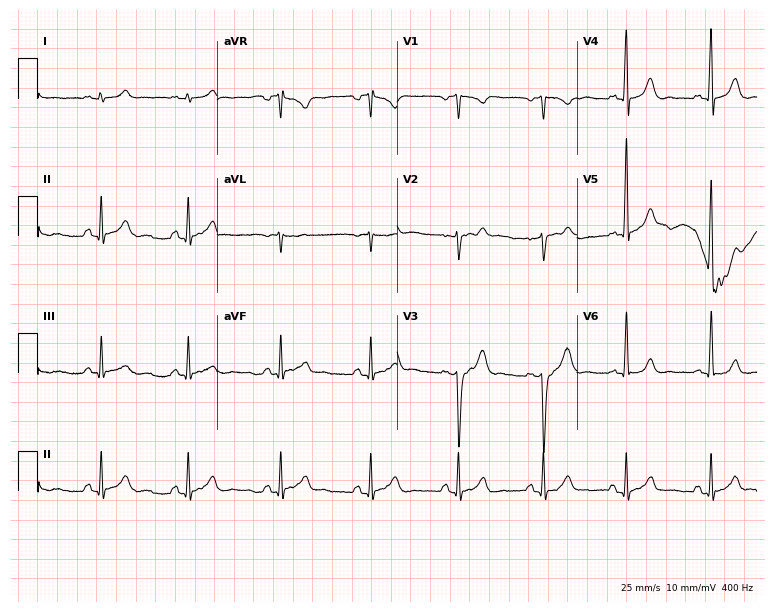
ECG (7.3-second recording at 400 Hz) — a 42-year-old man. Screened for six findings — first-degree AV block, right bundle branch block, left bundle branch block, sinus bradycardia, atrial fibrillation, sinus tachycardia — none is recorded.